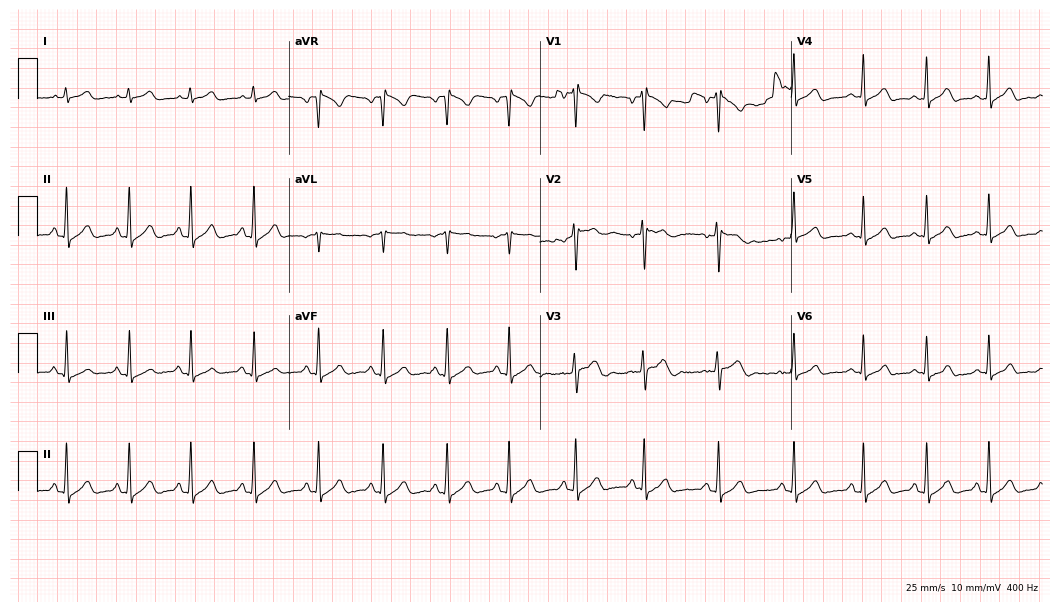
Electrocardiogram (10.2-second recording at 400 Hz), a 27-year-old female. Of the six screened findings (first-degree AV block, right bundle branch block (RBBB), left bundle branch block (LBBB), sinus bradycardia, atrial fibrillation (AF), sinus tachycardia), none is recorded.